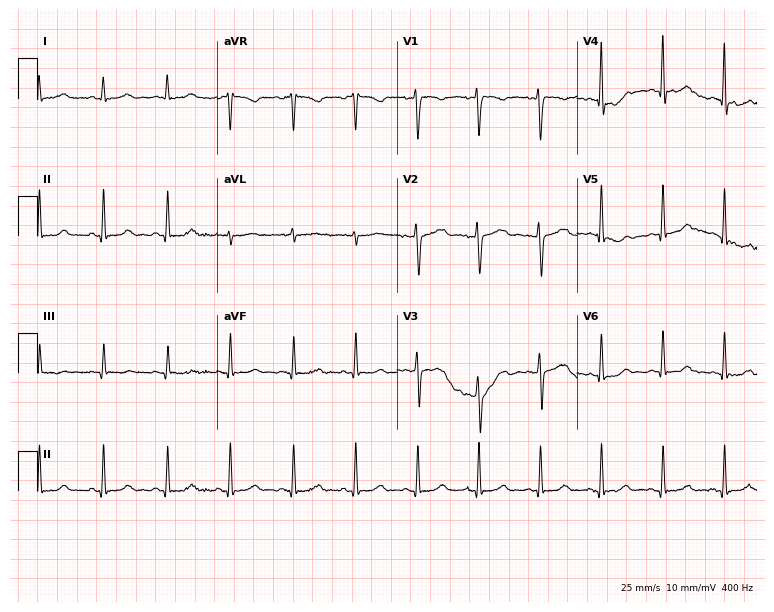
Standard 12-lead ECG recorded from a 41-year-old female patient (7.3-second recording at 400 Hz). None of these six findings is recorded: first-degree AV block, right bundle branch block, left bundle branch block, sinus bradycardia, atrial fibrillation, sinus tachycardia. Only these six findings were labelled.